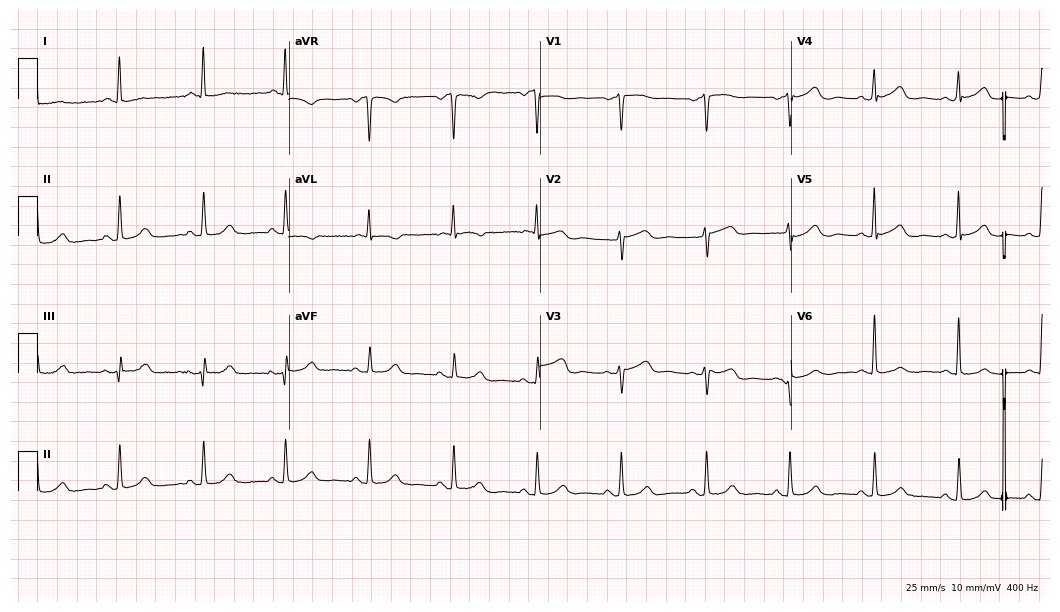
ECG — a female, 74 years old. Labelled as a normal ECG.